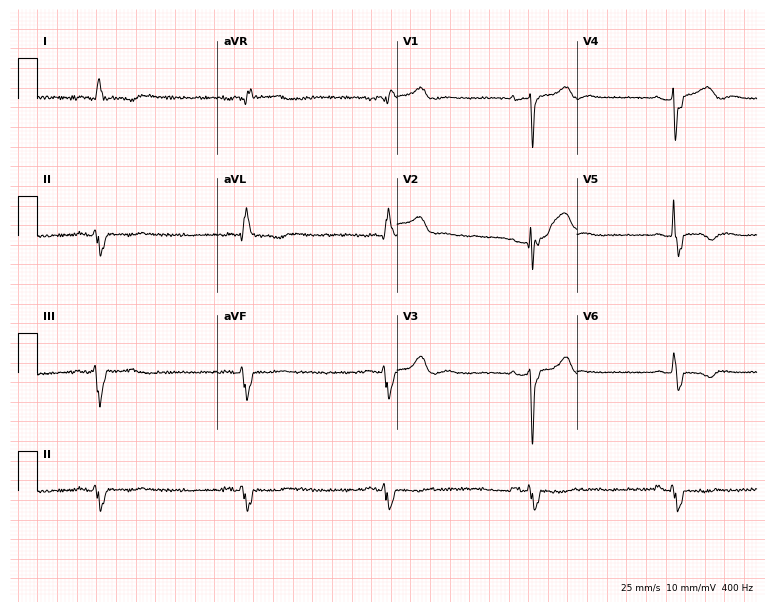
Resting 12-lead electrocardiogram (7.3-second recording at 400 Hz). Patient: a male, 58 years old. None of these six findings is recorded: first-degree AV block, right bundle branch block, left bundle branch block, sinus bradycardia, atrial fibrillation, sinus tachycardia. Other findings, if any, are not listed.